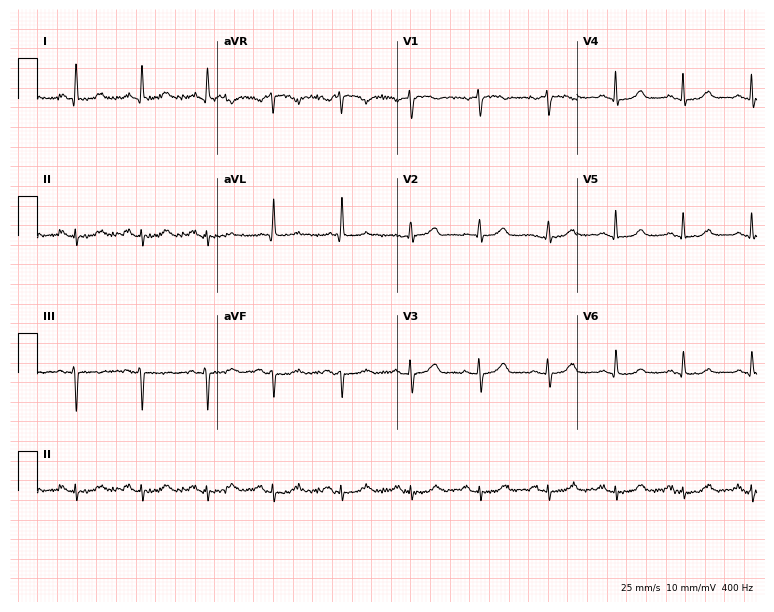
Standard 12-lead ECG recorded from a female patient, 65 years old. None of these six findings is recorded: first-degree AV block, right bundle branch block (RBBB), left bundle branch block (LBBB), sinus bradycardia, atrial fibrillation (AF), sinus tachycardia.